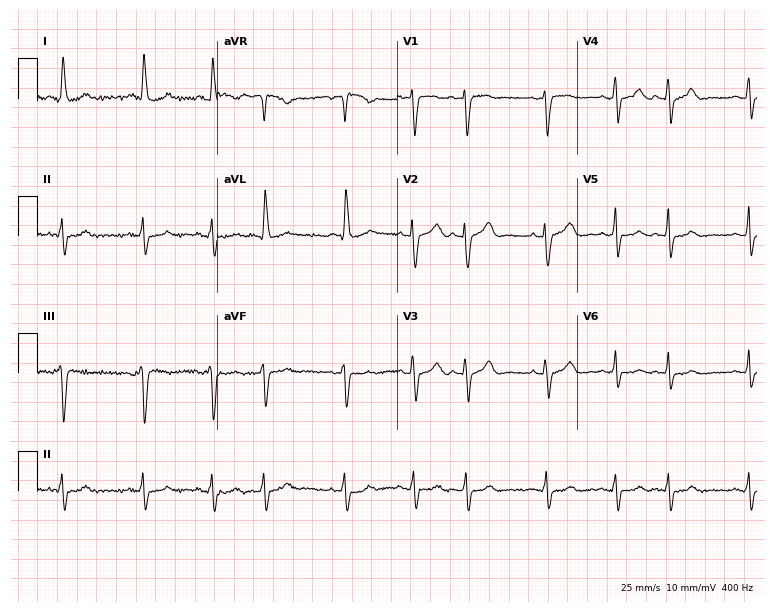
ECG — a 77-year-old female. Screened for six findings — first-degree AV block, right bundle branch block, left bundle branch block, sinus bradycardia, atrial fibrillation, sinus tachycardia — none is recorded.